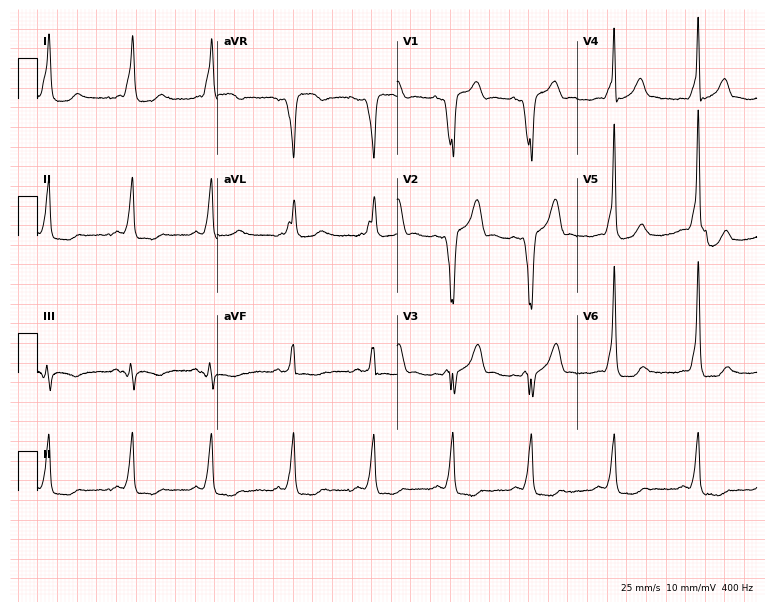
Standard 12-lead ECG recorded from a 34-year-old male (7.3-second recording at 400 Hz). None of these six findings is recorded: first-degree AV block, right bundle branch block, left bundle branch block, sinus bradycardia, atrial fibrillation, sinus tachycardia. Only these six findings were labelled.